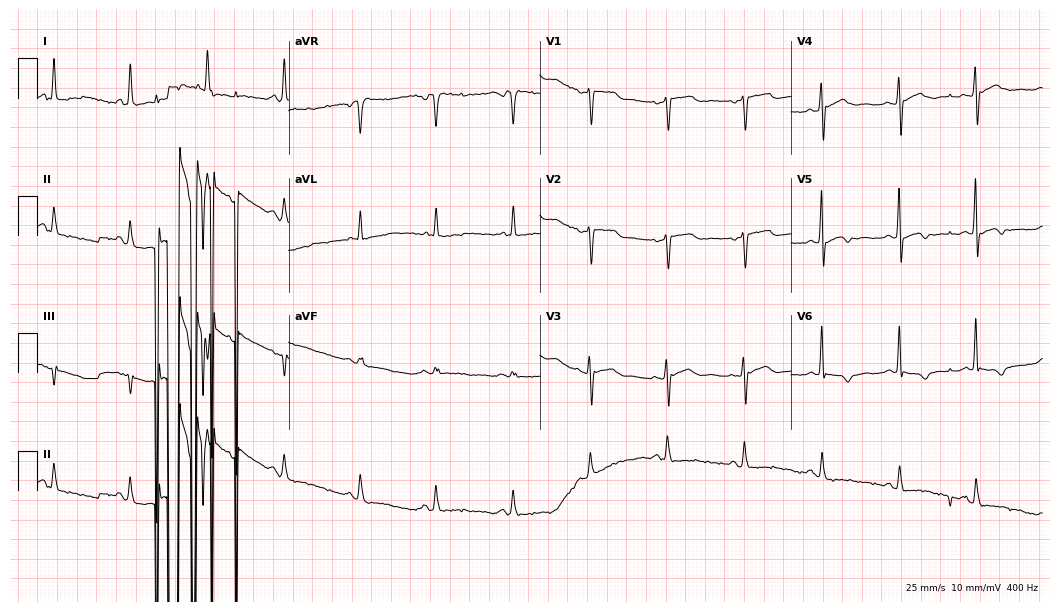
12-lead ECG from a female, 80 years old. Screened for six findings — first-degree AV block, right bundle branch block, left bundle branch block, sinus bradycardia, atrial fibrillation, sinus tachycardia — none is recorded. Findings outside these six are not listed.